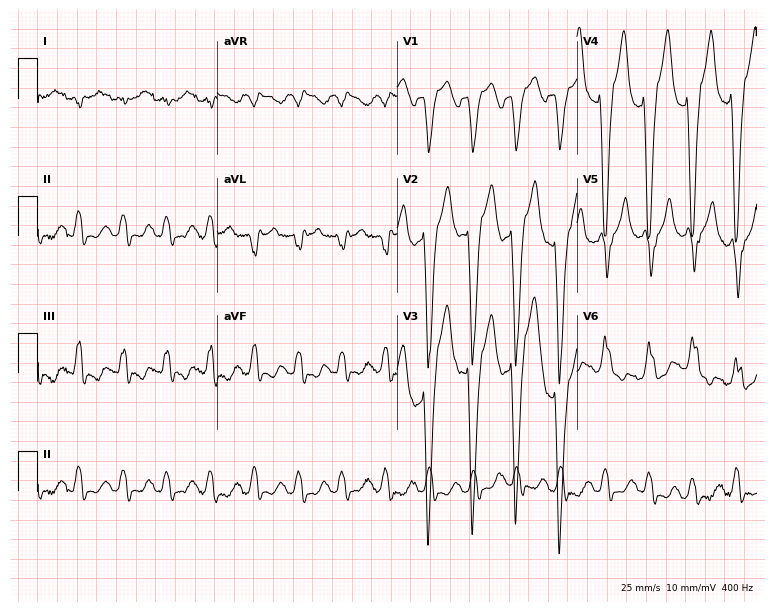
ECG (7.3-second recording at 400 Hz) — a 59-year-old female patient. Findings include left bundle branch block, sinus tachycardia (a sinus rate of 100 beats per minute or more).